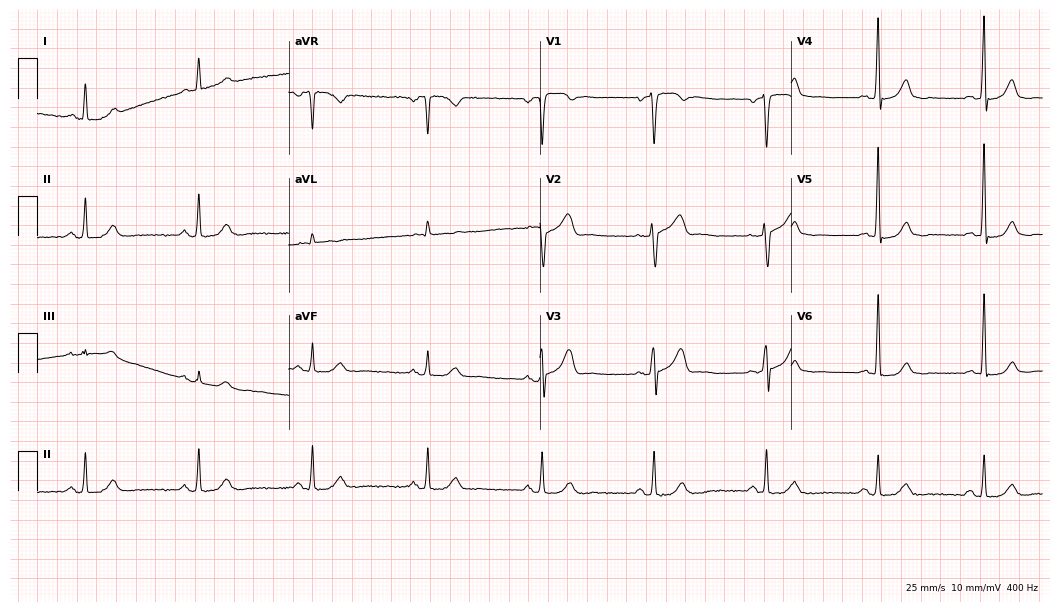
Standard 12-lead ECG recorded from a 73-year-old male patient. None of these six findings is recorded: first-degree AV block, right bundle branch block, left bundle branch block, sinus bradycardia, atrial fibrillation, sinus tachycardia.